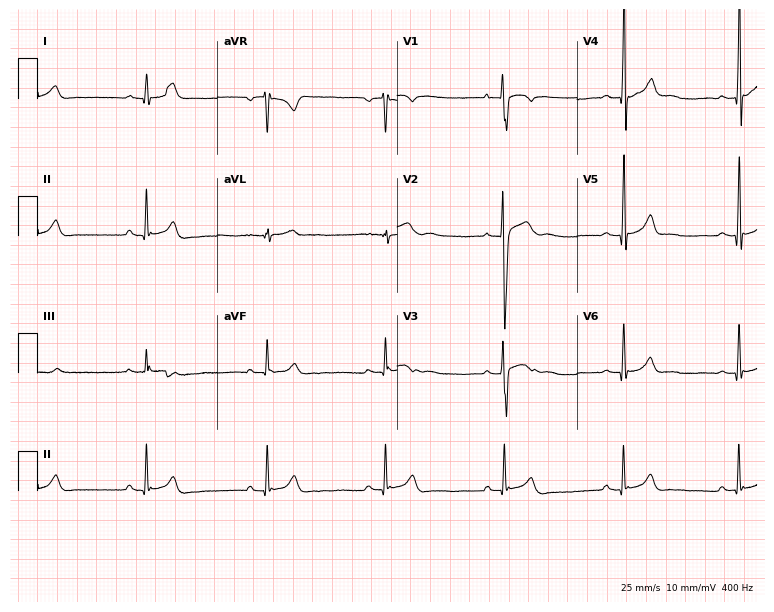
12-lead ECG from a 17-year-old male patient (7.3-second recording at 400 Hz). Shows sinus bradycardia (a sinus rate of 50 beats per minute or less).